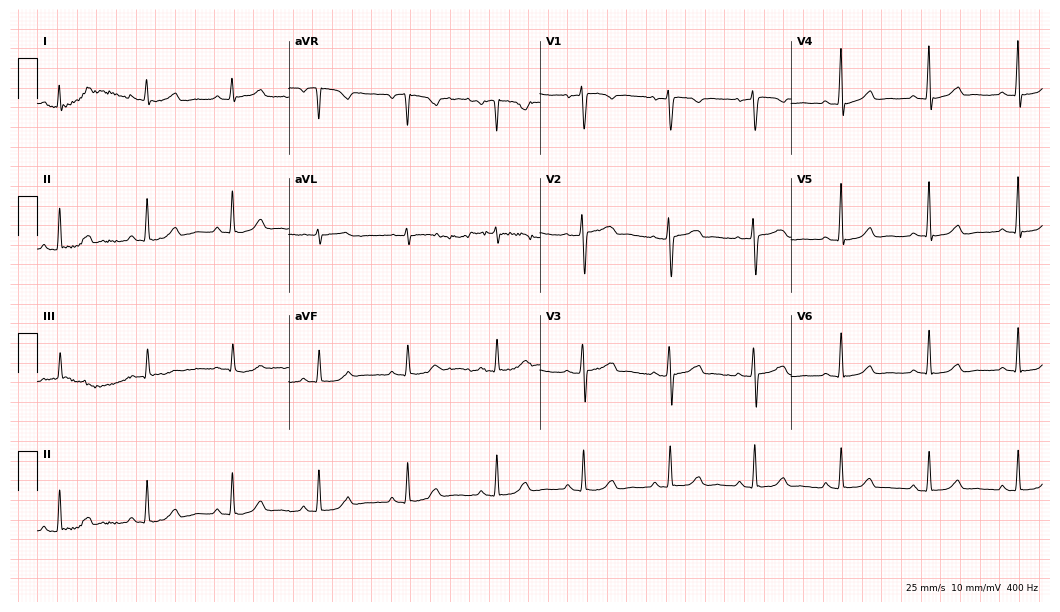
Standard 12-lead ECG recorded from a 58-year-old female. None of these six findings is recorded: first-degree AV block, right bundle branch block (RBBB), left bundle branch block (LBBB), sinus bradycardia, atrial fibrillation (AF), sinus tachycardia.